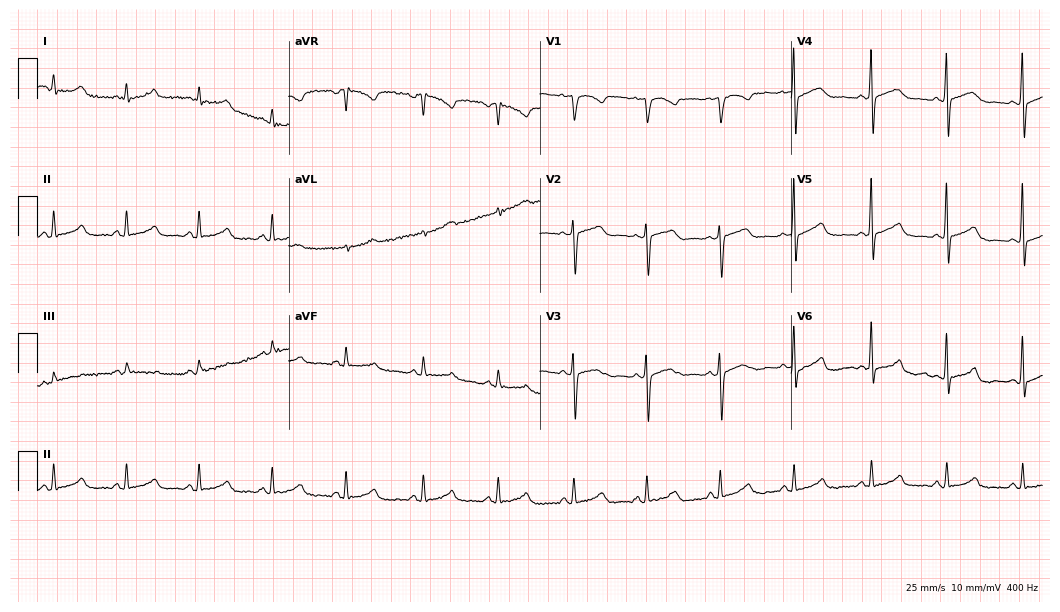
ECG — a female, 48 years old. Labelled as a normal ECG.